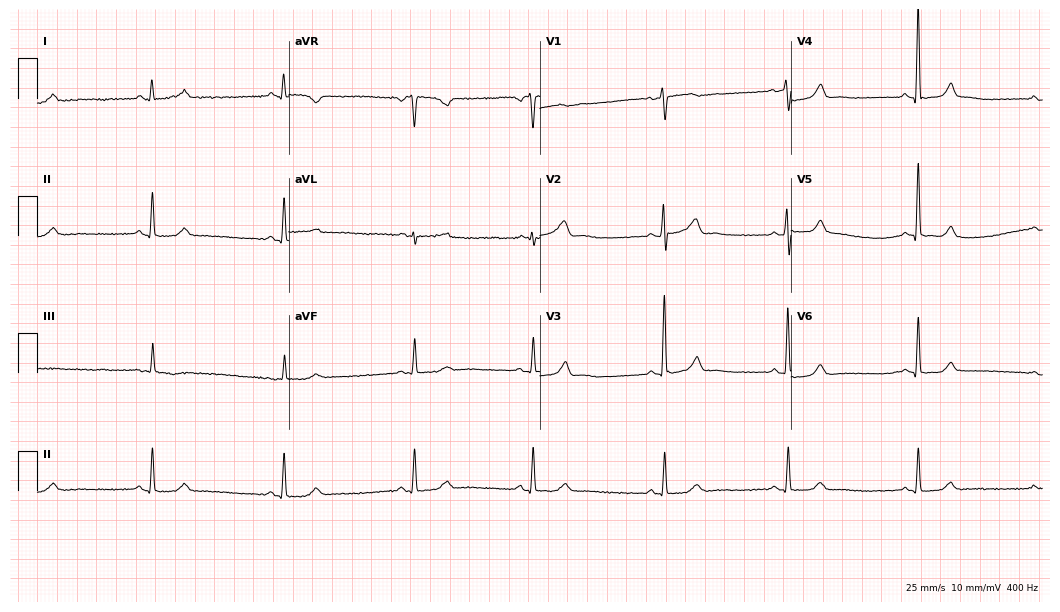
12-lead ECG (10.2-second recording at 400 Hz) from a 52-year-old man. Findings include sinus bradycardia (a sinus rate of 50 beats per minute or less).